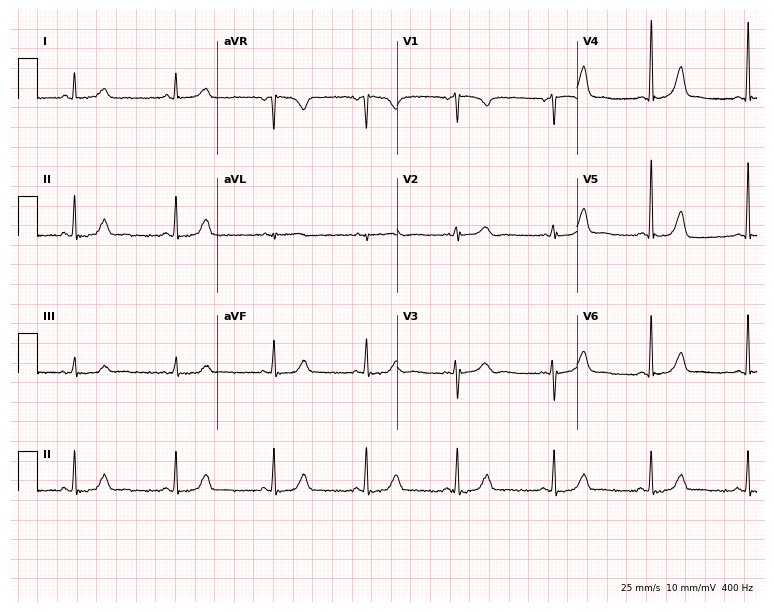
ECG — a 39-year-old female. Screened for six findings — first-degree AV block, right bundle branch block (RBBB), left bundle branch block (LBBB), sinus bradycardia, atrial fibrillation (AF), sinus tachycardia — none is recorded. Findings outside these six are not listed.